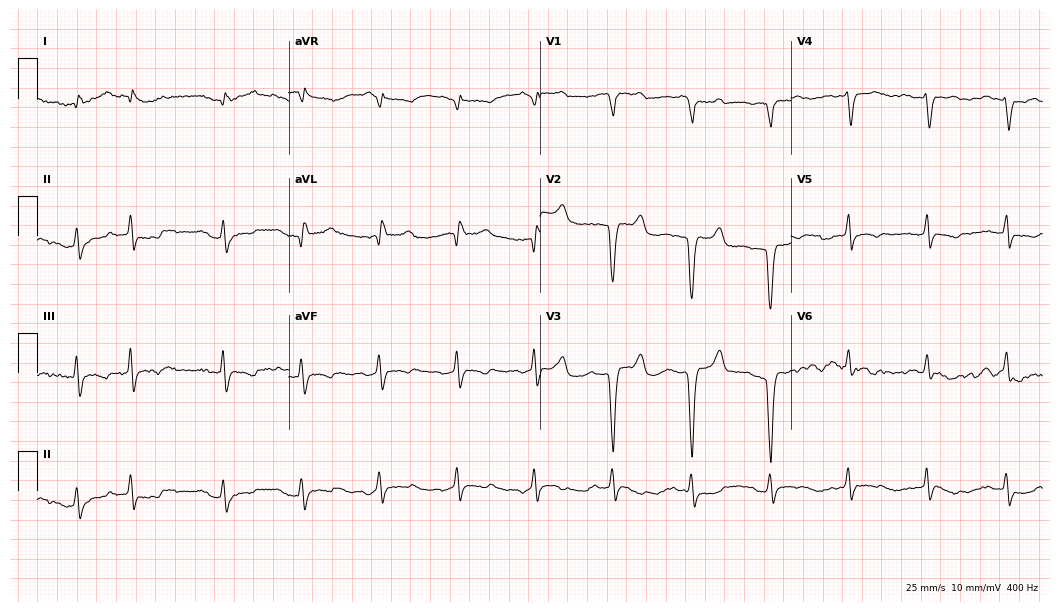
Standard 12-lead ECG recorded from a 50-year-old female patient. None of these six findings is recorded: first-degree AV block, right bundle branch block (RBBB), left bundle branch block (LBBB), sinus bradycardia, atrial fibrillation (AF), sinus tachycardia.